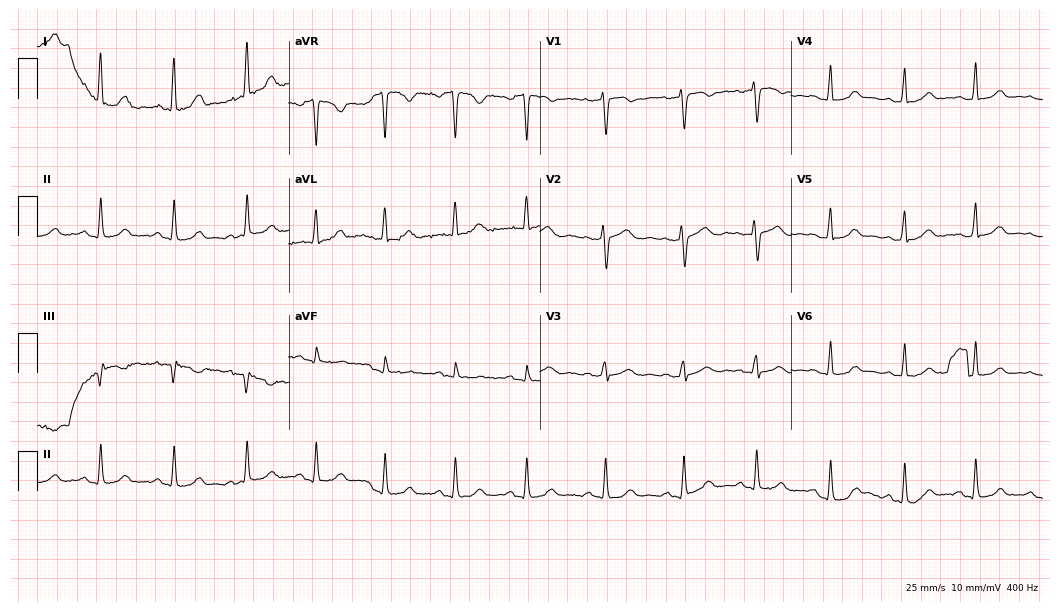
Standard 12-lead ECG recorded from a 27-year-old female (10.2-second recording at 400 Hz). Read as a normal ECG.